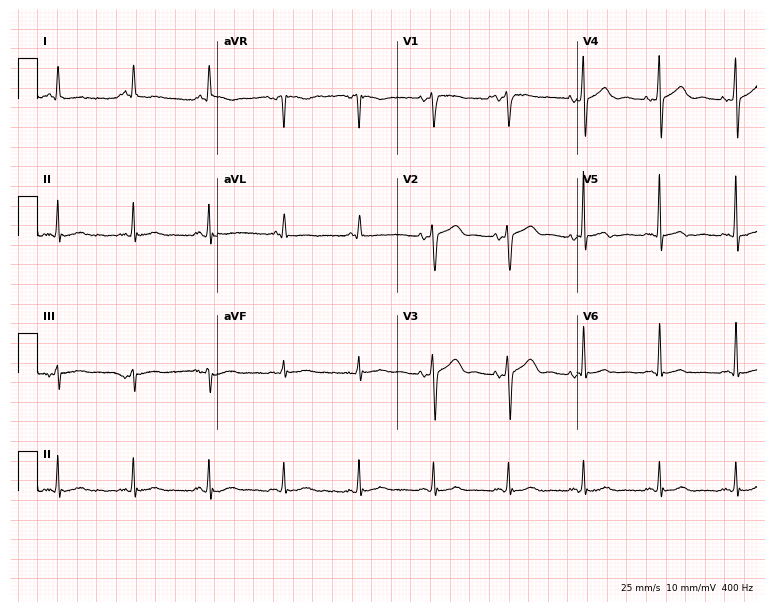
Electrocardiogram, a female patient, 66 years old. Of the six screened findings (first-degree AV block, right bundle branch block (RBBB), left bundle branch block (LBBB), sinus bradycardia, atrial fibrillation (AF), sinus tachycardia), none is recorded.